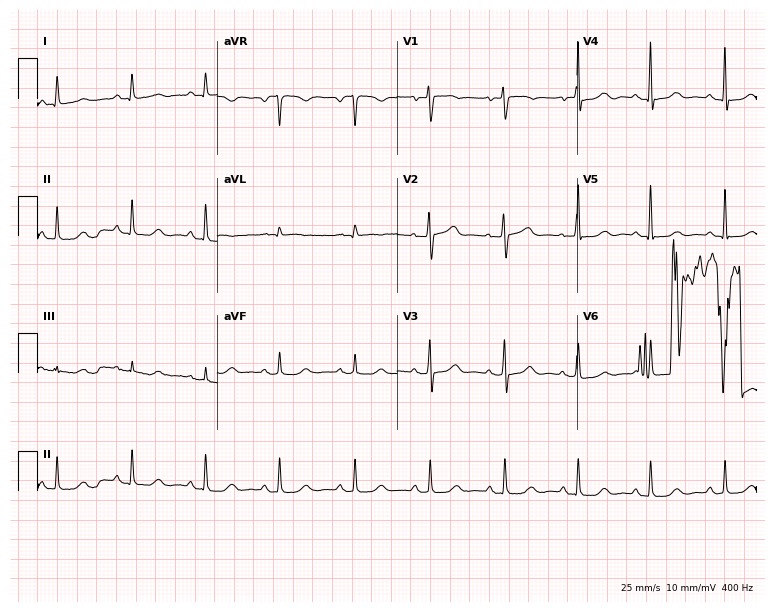
12-lead ECG from a 63-year-old female patient. Screened for six findings — first-degree AV block, right bundle branch block, left bundle branch block, sinus bradycardia, atrial fibrillation, sinus tachycardia — none is recorded.